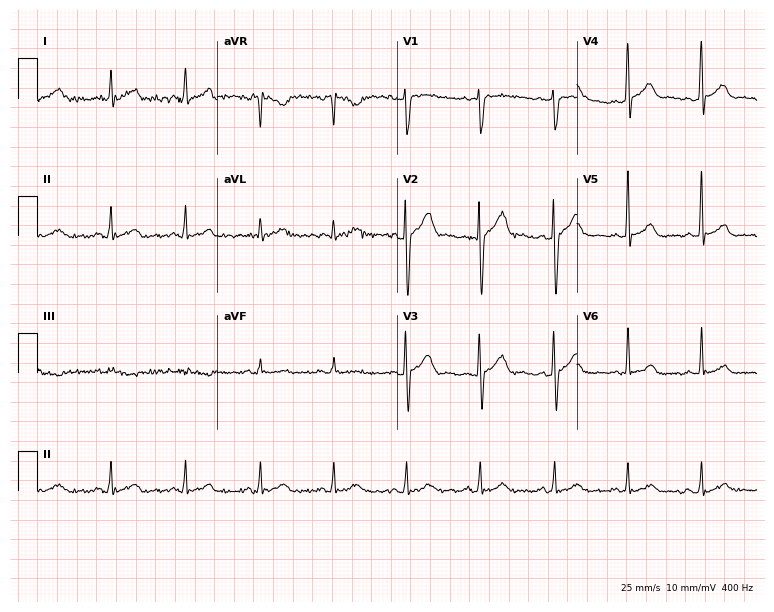
12-lead ECG from a 32-year-old man. Labelled as a normal ECG.